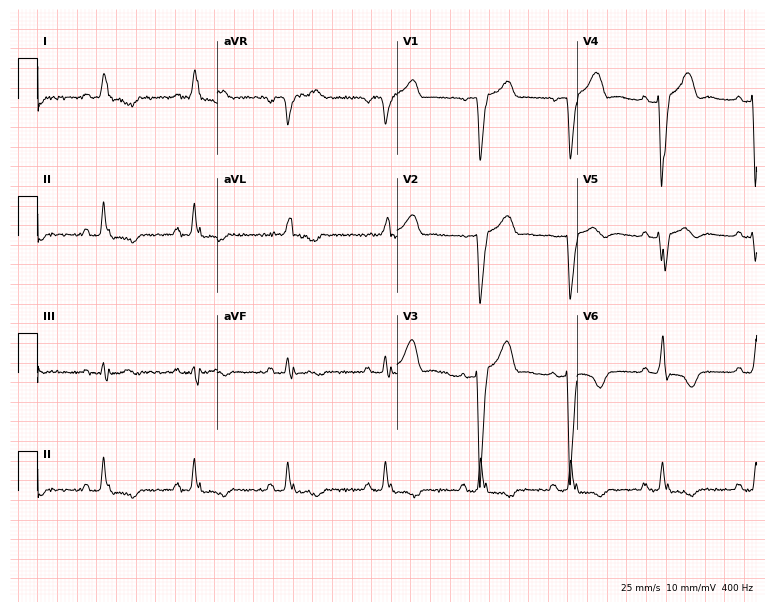
Electrocardiogram (7.3-second recording at 400 Hz), a man, 75 years old. Interpretation includes left bundle branch block.